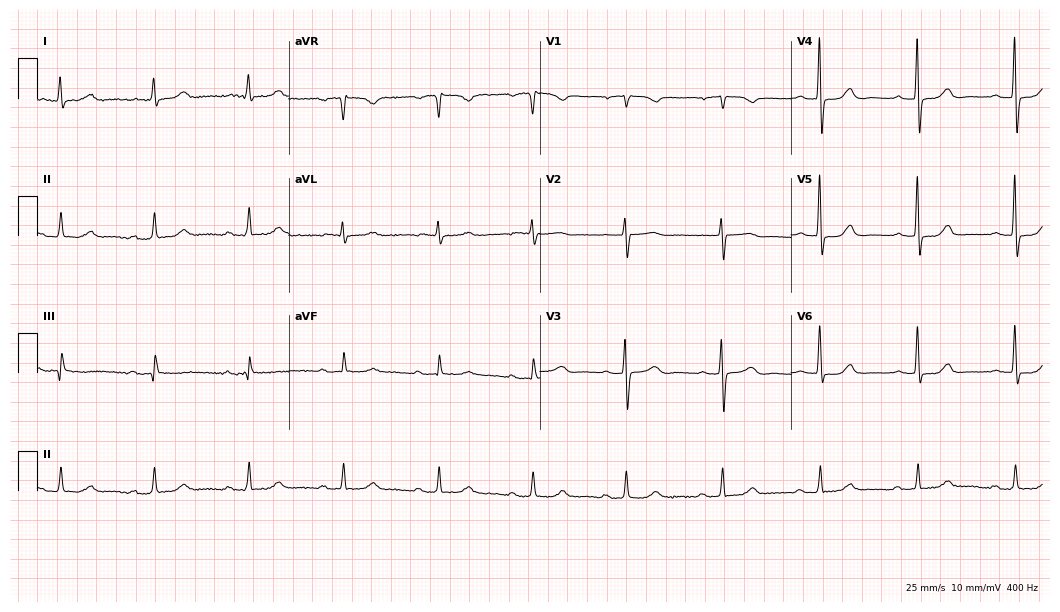
12-lead ECG (10.2-second recording at 400 Hz) from a woman, 79 years old. Labelled as a normal ECG.